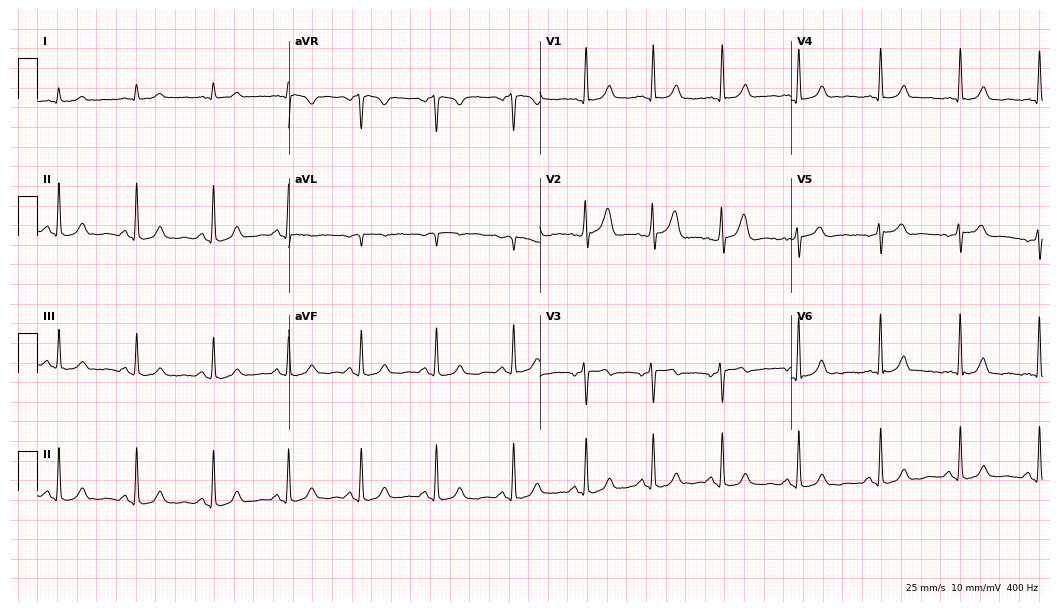
12-lead ECG from a 65-year-old male patient (10.2-second recording at 400 Hz). No first-degree AV block, right bundle branch block (RBBB), left bundle branch block (LBBB), sinus bradycardia, atrial fibrillation (AF) or sinus tachycardia recorded for this tracing.